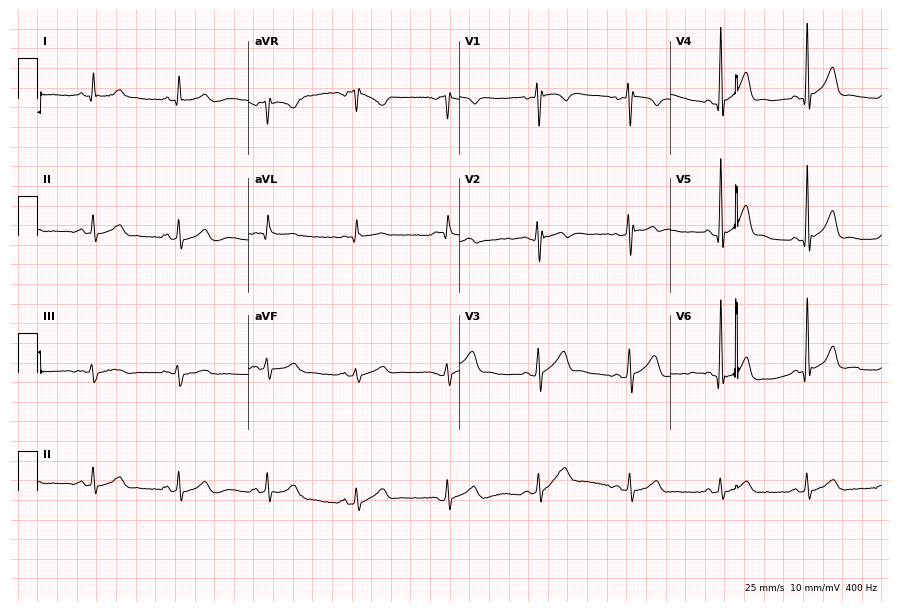
ECG (8.6-second recording at 400 Hz) — a 49-year-old male. Screened for six findings — first-degree AV block, right bundle branch block, left bundle branch block, sinus bradycardia, atrial fibrillation, sinus tachycardia — none is recorded.